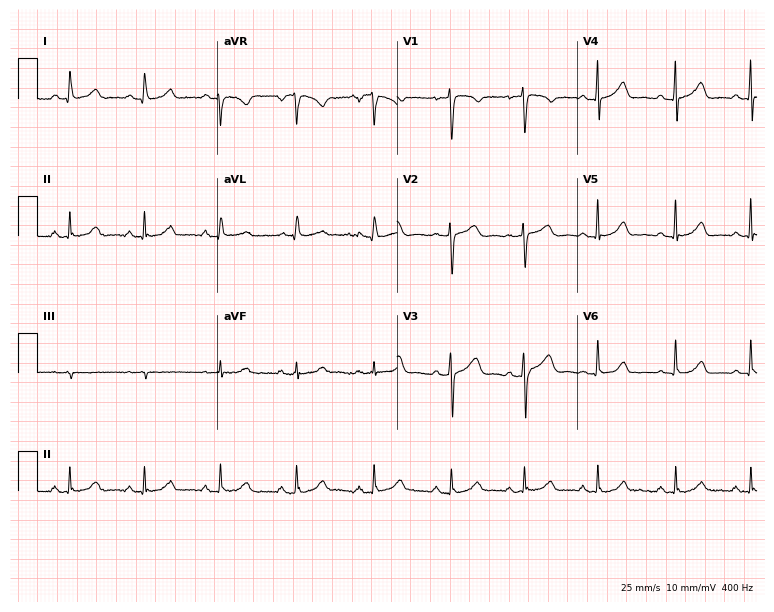
Resting 12-lead electrocardiogram (7.3-second recording at 400 Hz). Patient: a 45-year-old female. Read as a normal ECG.